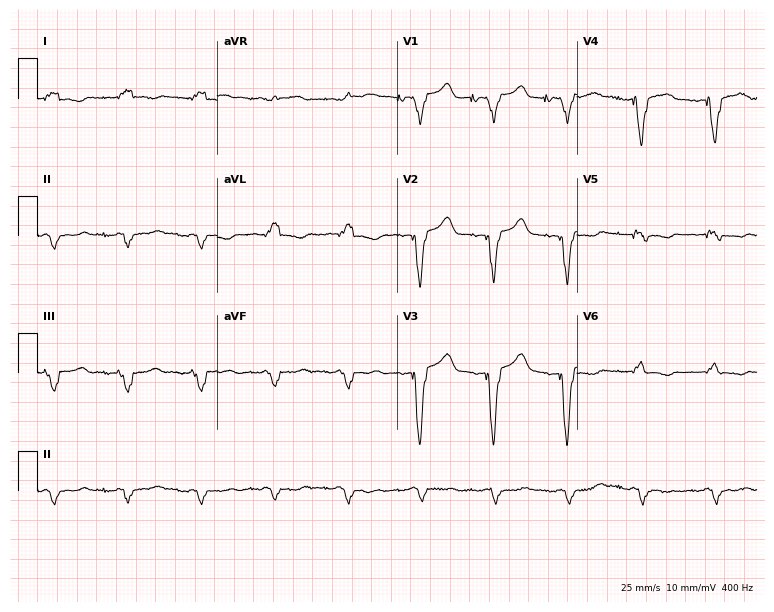
Resting 12-lead electrocardiogram (7.3-second recording at 400 Hz). Patient: an 85-year-old male. The tracing shows left bundle branch block.